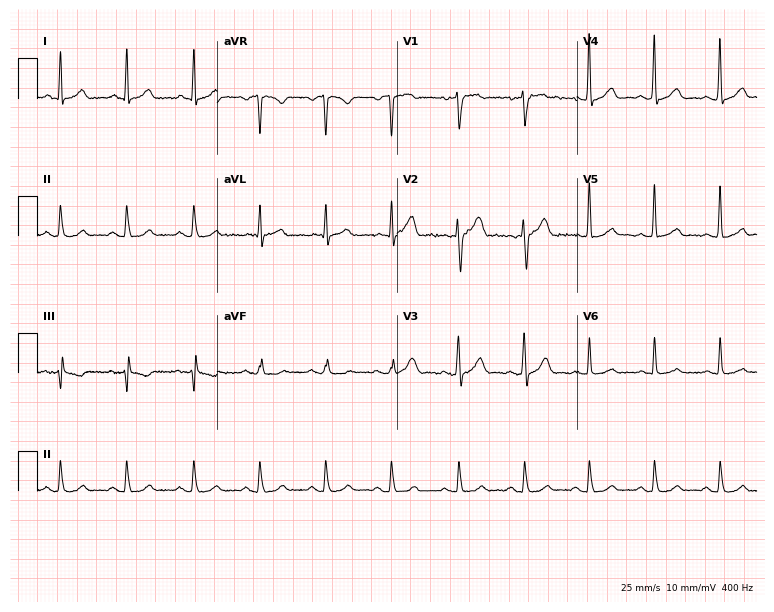
Electrocardiogram (7.3-second recording at 400 Hz), a 50-year-old male. Overall reading on record: normal ECG.